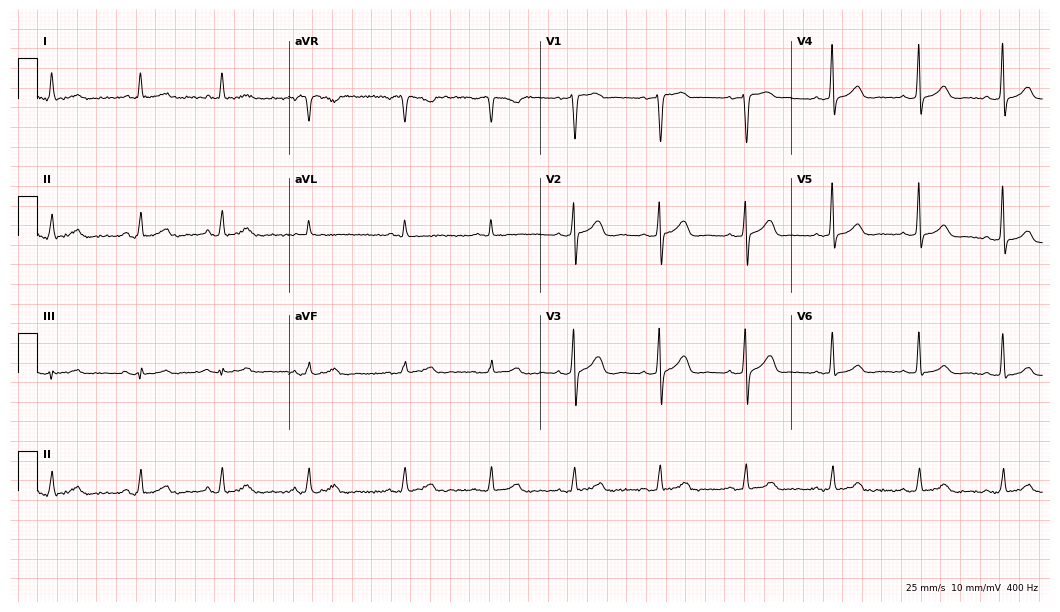
Resting 12-lead electrocardiogram (10.2-second recording at 400 Hz). Patient: a 53-year-old female. Read as a normal ECG.